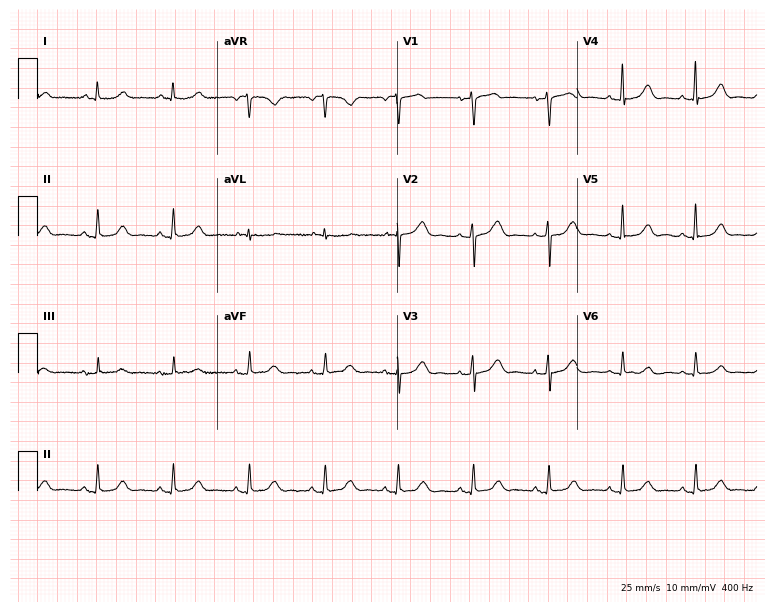
ECG — a 63-year-old female patient. Labelled as a normal ECG.